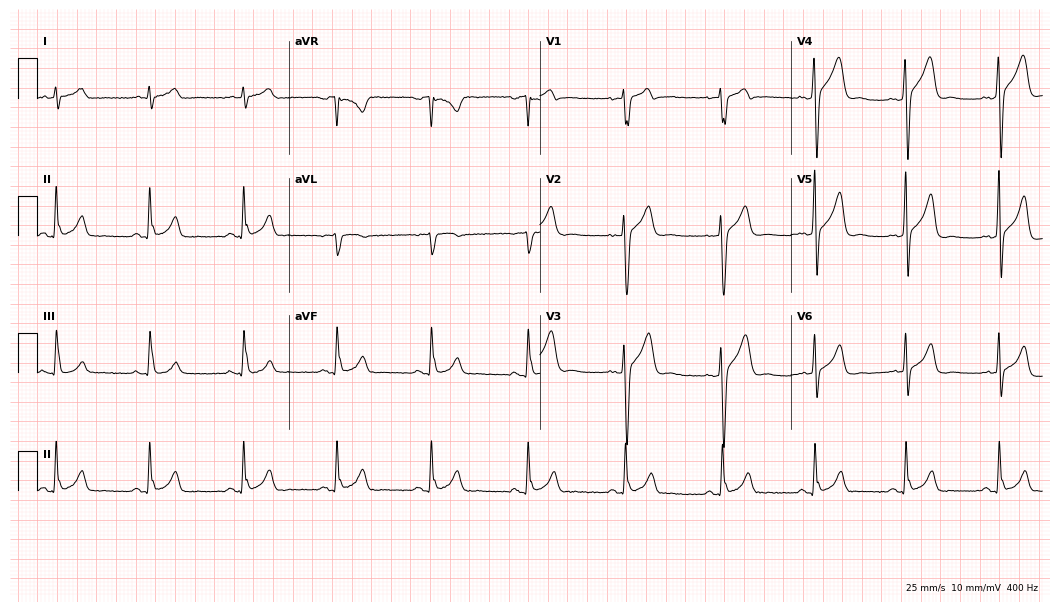
12-lead ECG from a female, 33 years old (10.2-second recording at 400 Hz). No first-degree AV block, right bundle branch block, left bundle branch block, sinus bradycardia, atrial fibrillation or sinus tachycardia recorded for this tracing.